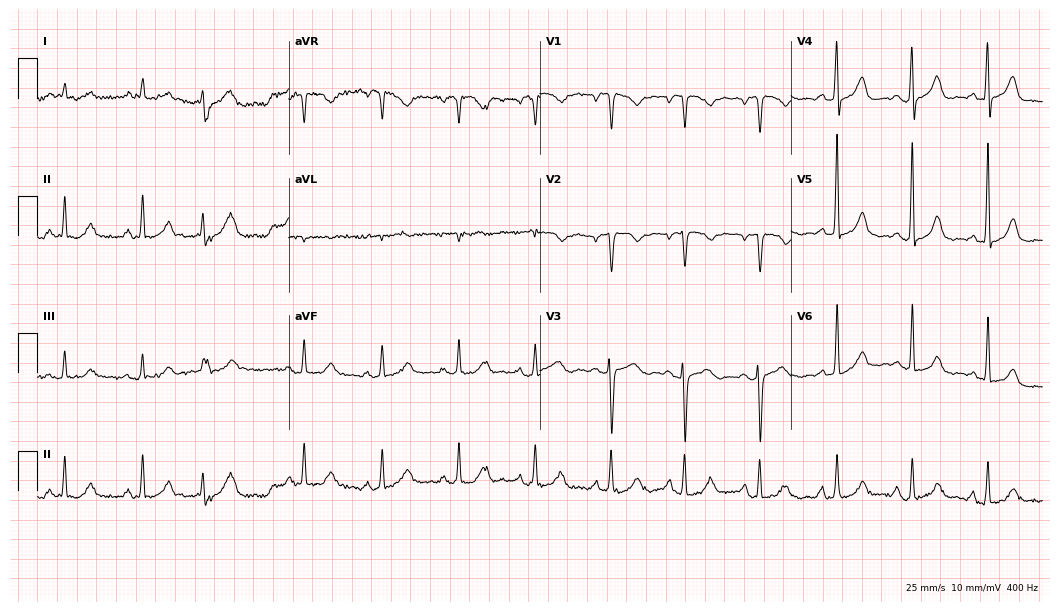
12-lead ECG from a female, 76 years old. No first-degree AV block, right bundle branch block, left bundle branch block, sinus bradycardia, atrial fibrillation or sinus tachycardia recorded for this tracing.